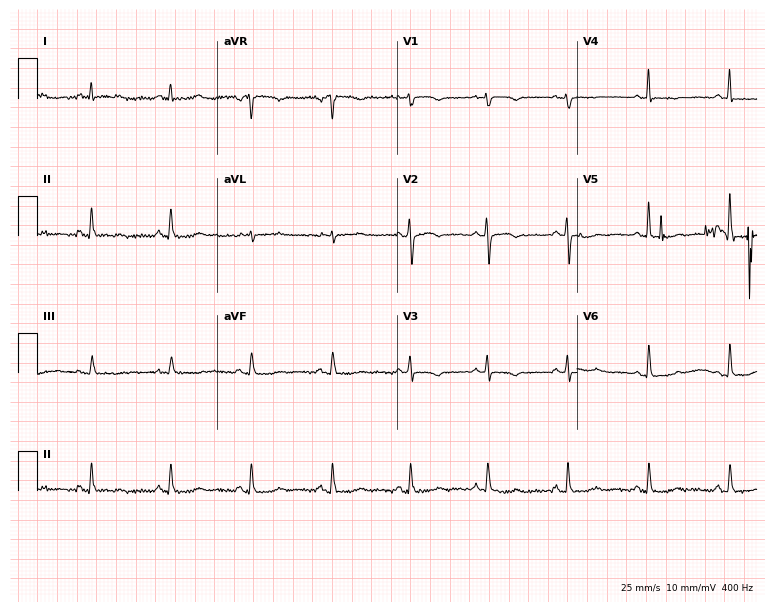
12-lead ECG (7.3-second recording at 400 Hz) from a woman, 52 years old. Screened for six findings — first-degree AV block, right bundle branch block, left bundle branch block, sinus bradycardia, atrial fibrillation, sinus tachycardia — none is recorded.